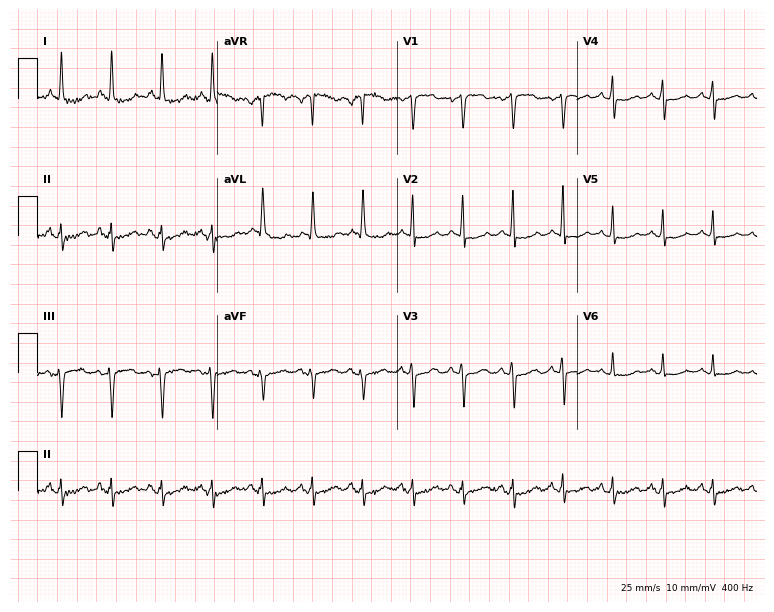
ECG — a female patient, 77 years old. Findings include sinus tachycardia (a sinus rate of 100 beats per minute or more).